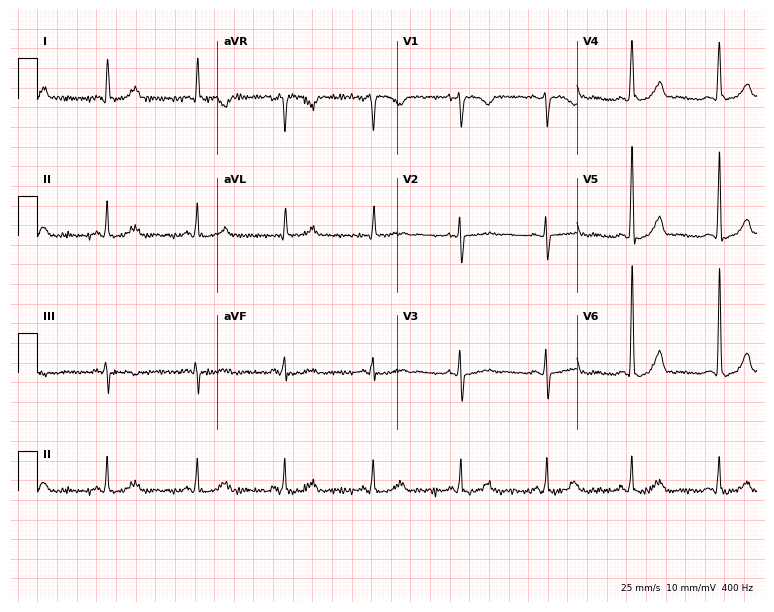
12-lead ECG from a woman, 42 years old (7.3-second recording at 400 Hz). No first-degree AV block, right bundle branch block (RBBB), left bundle branch block (LBBB), sinus bradycardia, atrial fibrillation (AF) or sinus tachycardia recorded for this tracing. Findings outside these six are not listed.